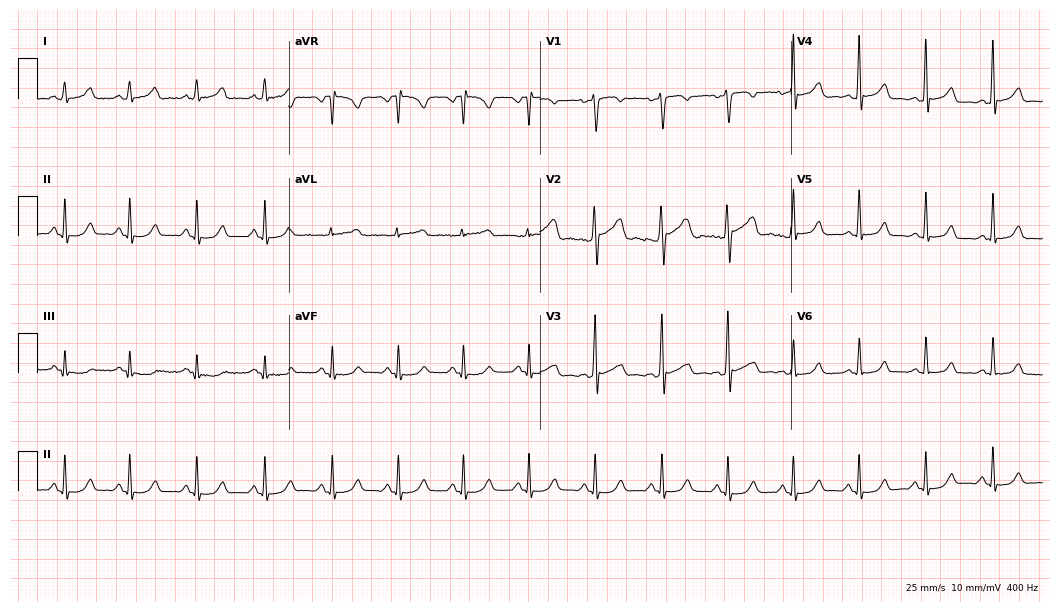
Electrocardiogram, a 32-year-old female patient. Overall reading on record: normal ECG.